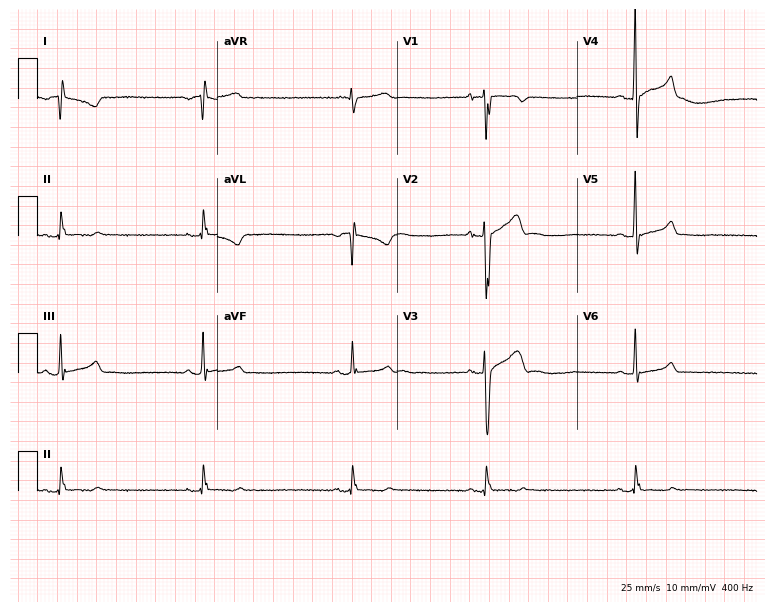
12-lead ECG from a male, 30 years old. No first-degree AV block, right bundle branch block, left bundle branch block, sinus bradycardia, atrial fibrillation or sinus tachycardia recorded for this tracing.